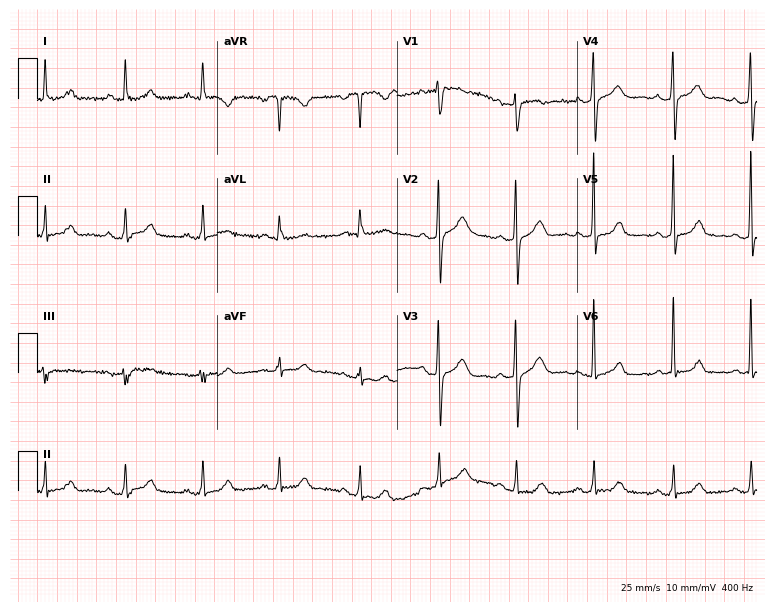
Resting 12-lead electrocardiogram. Patient: a 49-year-old female. Read as a normal ECG.